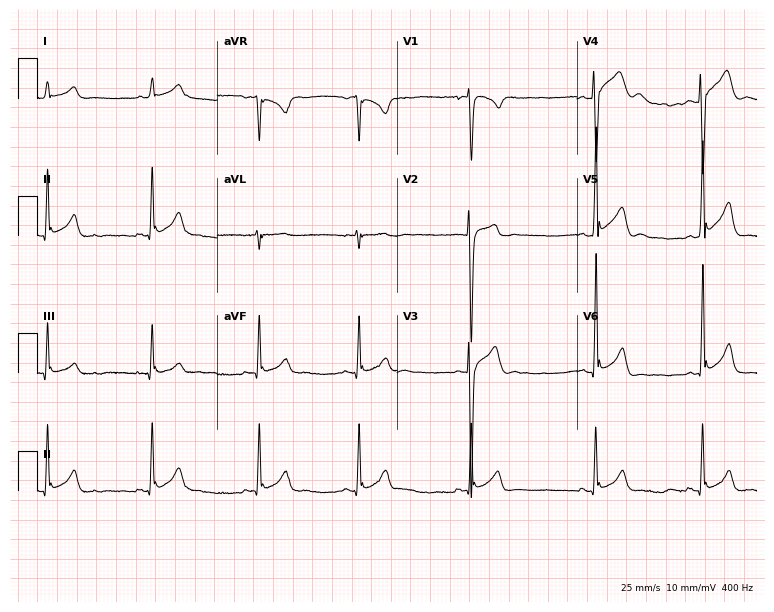
Electrocardiogram, a man, 19 years old. Of the six screened findings (first-degree AV block, right bundle branch block, left bundle branch block, sinus bradycardia, atrial fibrillation, sinus tachycardia), none is recorded. Other findings, if any, are not listed.